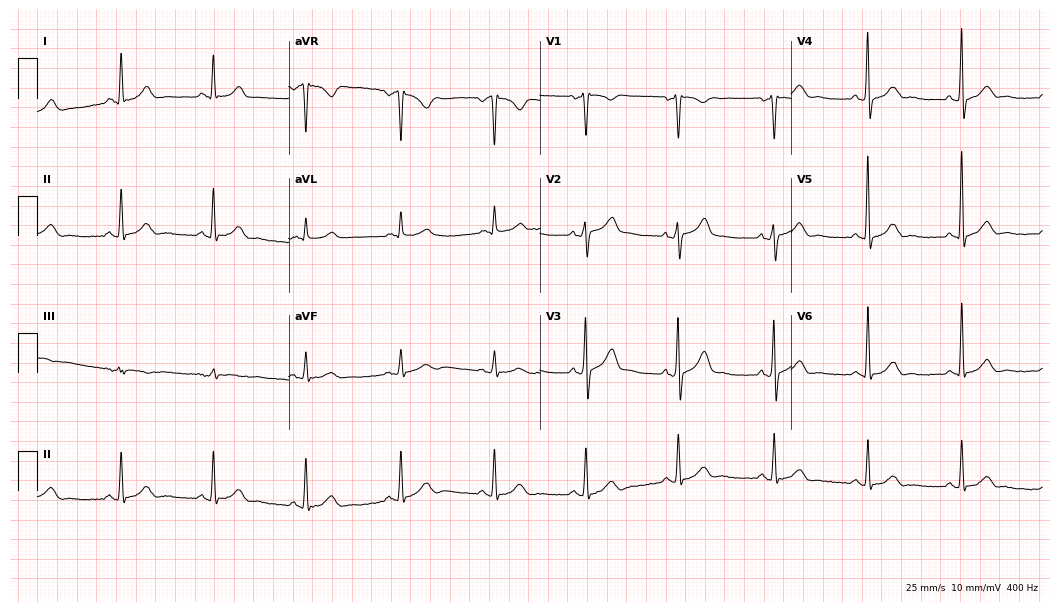
Electrocardiogram, a 66-year-old male patient. Overall reading on record: normal ECG.